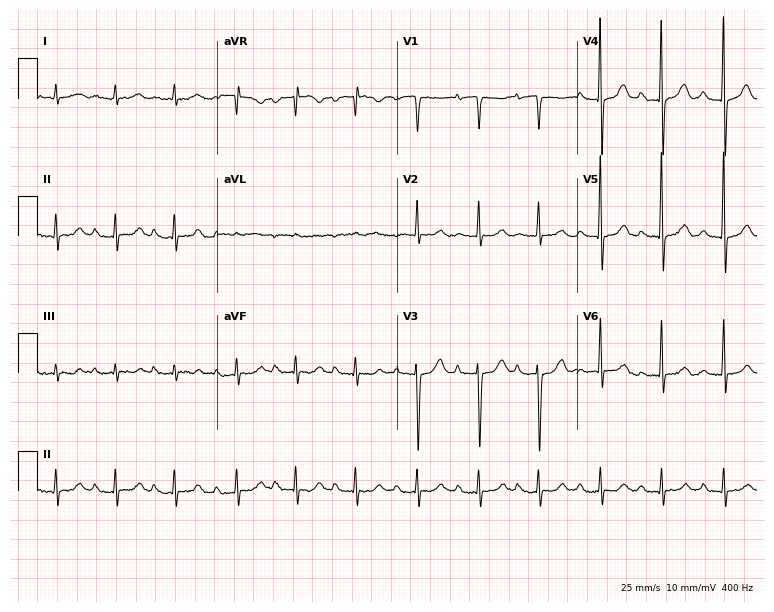
Electrocardiogram (7.3-second recording at 400 Hz), an 83-year-old woman. Overall reading on record: normal ECG.